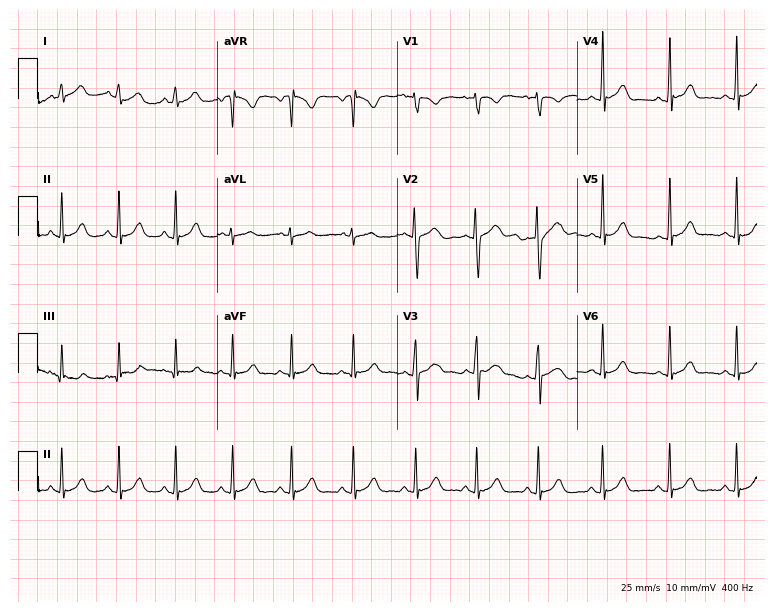
12-lead ECG from a woman, 22 years old. Labelled as a normal ECG.